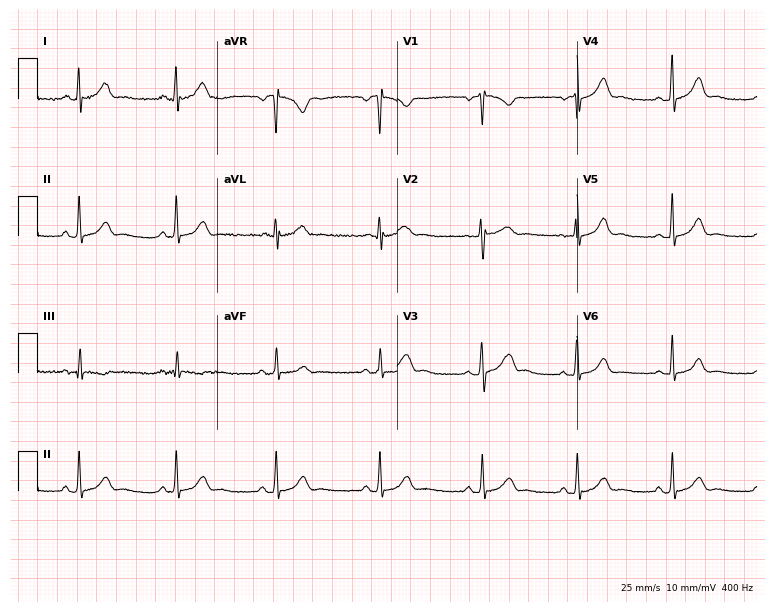
Resting 12-lead electrocardiogram. Patient: a female, 32 years old. Read as a normal ECG.